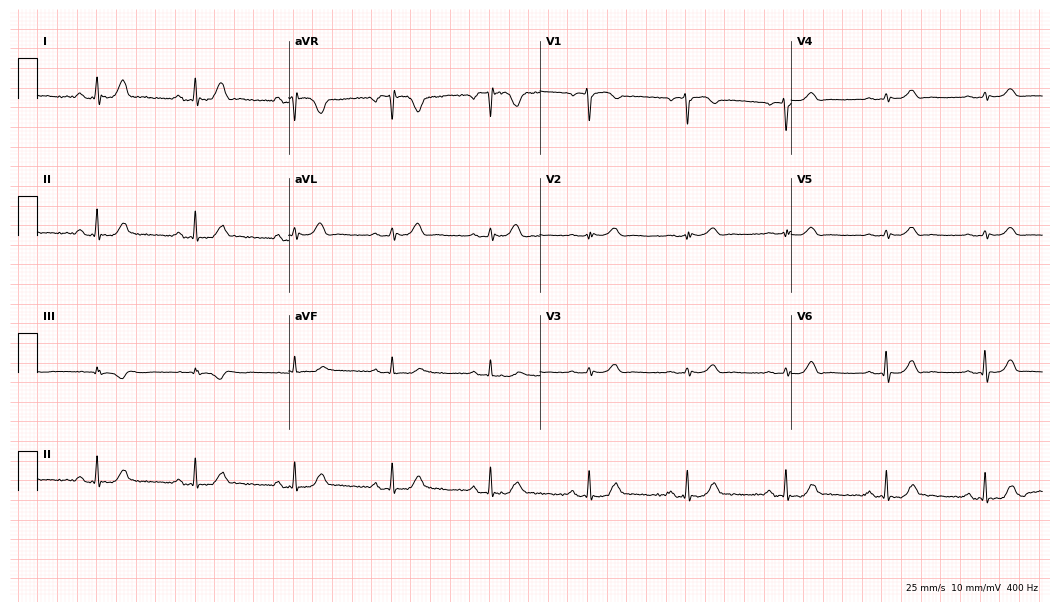
Standard 12-lead ECG recorded from a 65-year-old woman (10.2-second recording at 400 Hz). Read as a normal ECG.